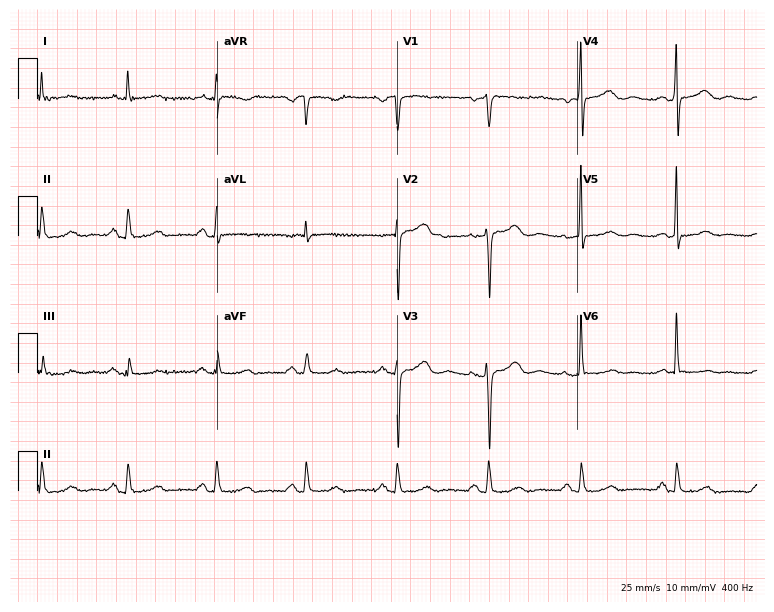
Standard 12-lead ECG recorded from a 58-year-old female. None of these six findings is recorded: first-degree AV block, right bundle branch block, left bundle branch block, sinus bradycardia, atrial fibrillation, sinus tachycardia. Findings outside these six are not listed.